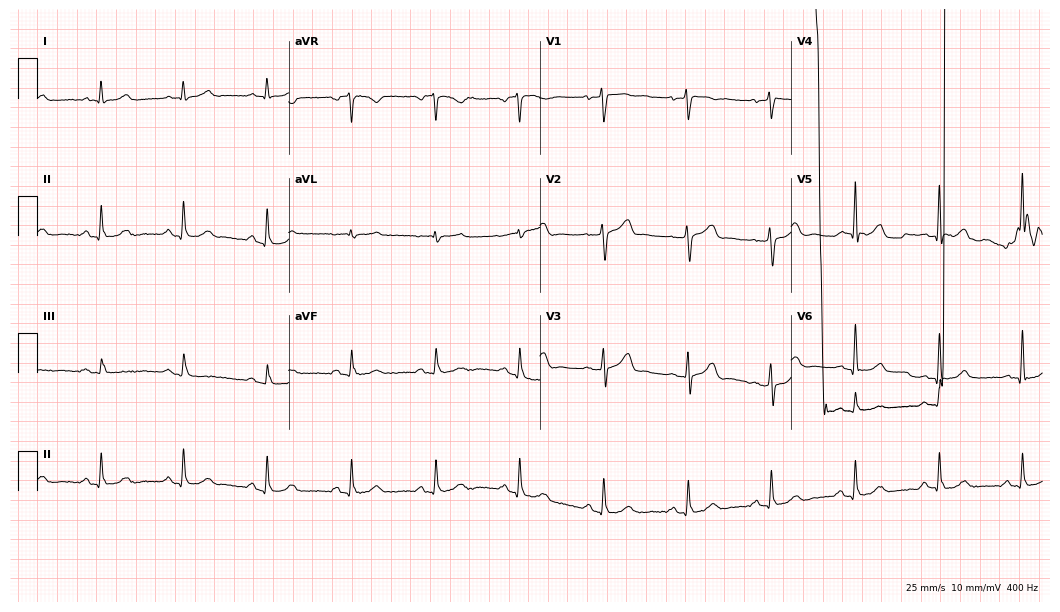
Electrocardiogram (10.2-second recording at 400 Hz), a 66-year-old male. Overall reading on record: normal ECG.